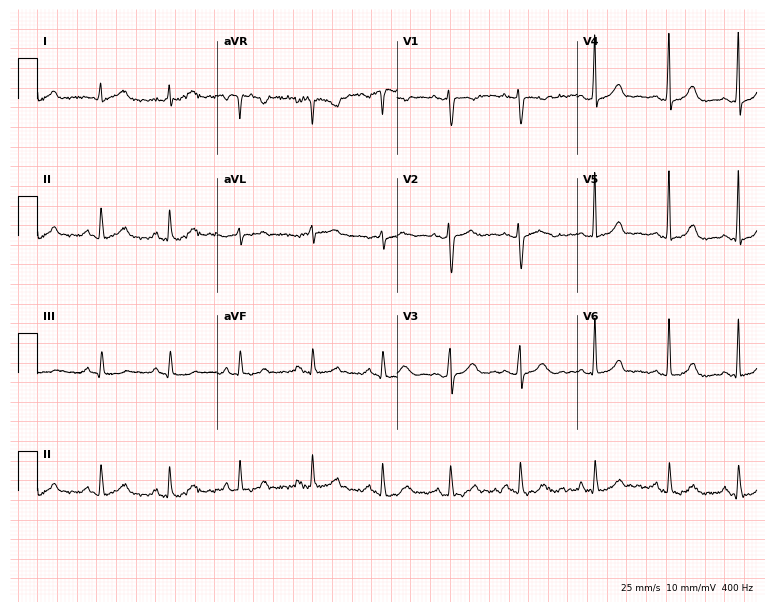
Resting 12-lead electrocardiogram. Patient: a 49-year-old female. Read as a normal ECG.